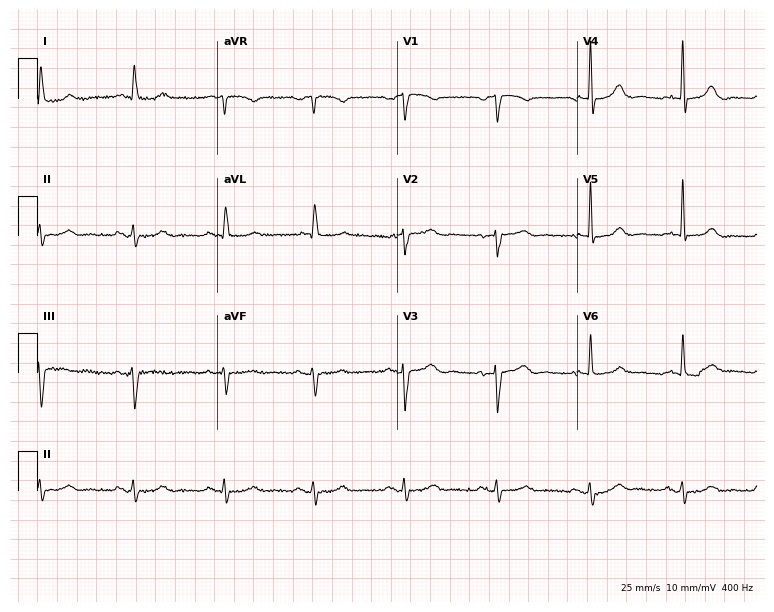
Resting 12-lead electrocardiogram (7.3-second recording at 400 Hz). Patient: an 85-year-old woman. Read as a normal ECG.